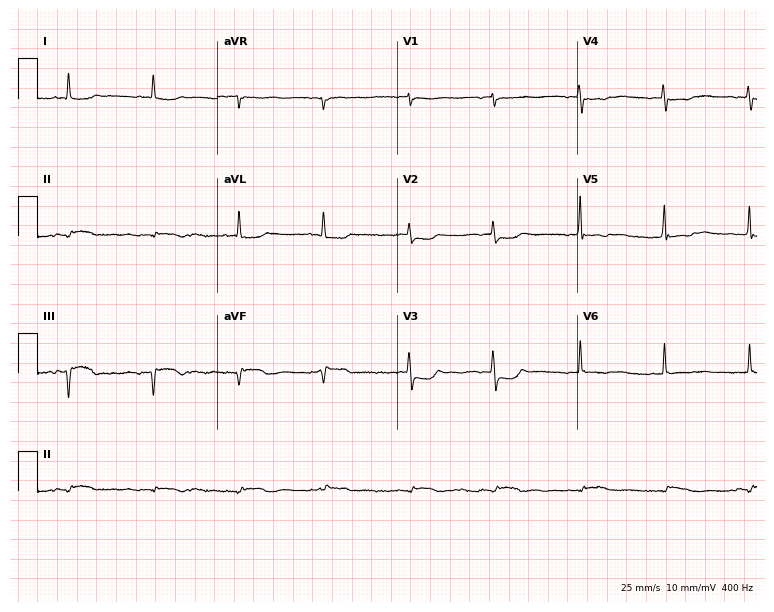
12-lead ECG from a female patient, 84 years old. No first-degree AV block, right bundle branch block (RBBB), left bundle branch block (LBBB), sinus bradycardia, atrial fibrillation (AF) or sinus tachycardia recorded for this tracing.